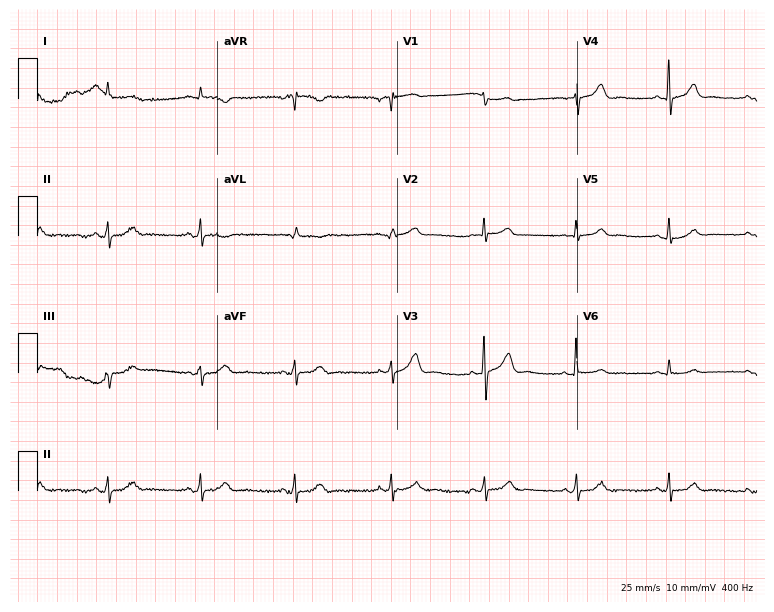
ECG (7.3-second recording at 400 Hz) — a male, 70 years old. Screened for six findings — first-degree AV block, right bundle branch block, left bundle branch block, sinus bradycardia, atrial fibrillation, sinus tachycardia — none is recorded.